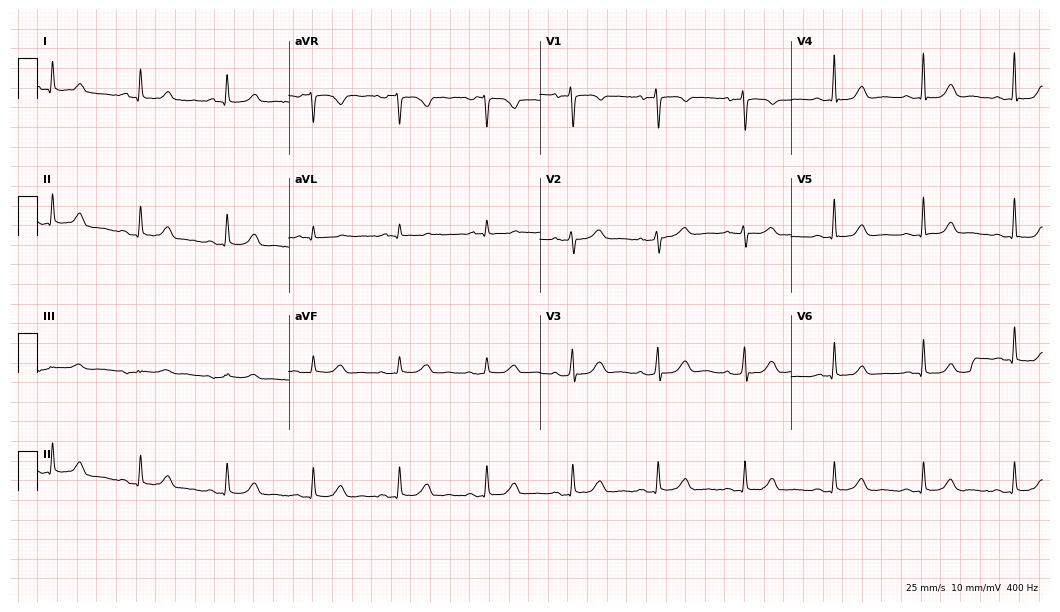
12-lead ECG from a woman, 52 years old. Recorded interpretation: within normal limits.